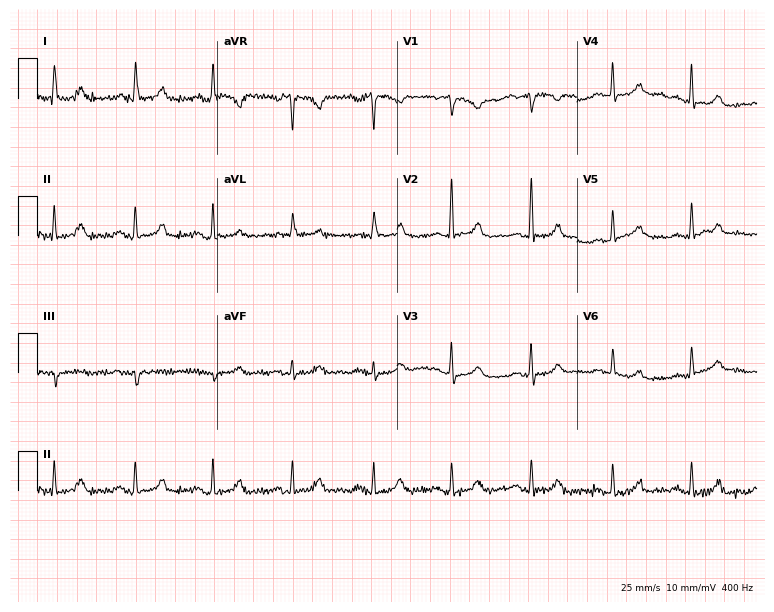
ECG — a 77-year-old female. Labelled as a normal ECG.